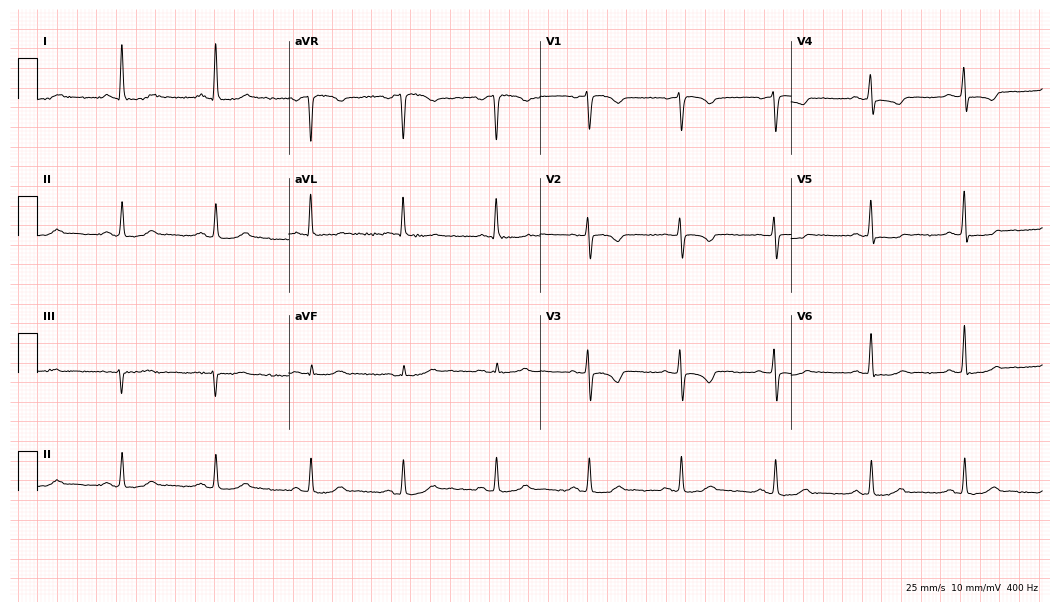
Electrocardiogram (10.2-second recording at 400 Hz), a 62-year-old woman. Of the six screened findings (first-degree AV block, right bundle branch block (RBBB), left bundle branch block (LBBB), sinus bradycardia, atrial fibrillation (AF), sinus tachycardia), none is recorded. Findings outside these six are not listed.